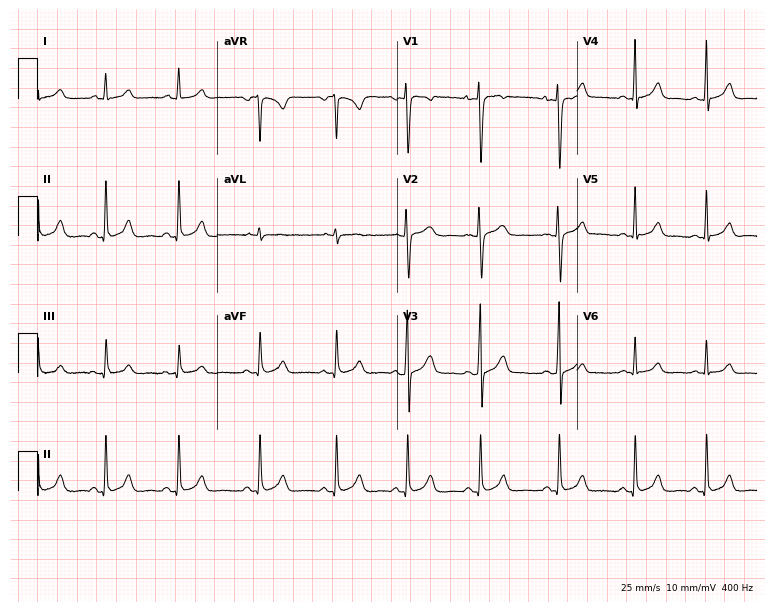
12-lead ECG (7.3-second recording at 400 Hz) from a female patient, 17 years old. Screened for six findings — first-degree AV block, right bundle branch block (RBBB), left bundle branch block (LBBB), sinus bradycardia, atrial fibrillation (AF), sinus tachycardia — none is recorded. Findings outside these six are not listed.